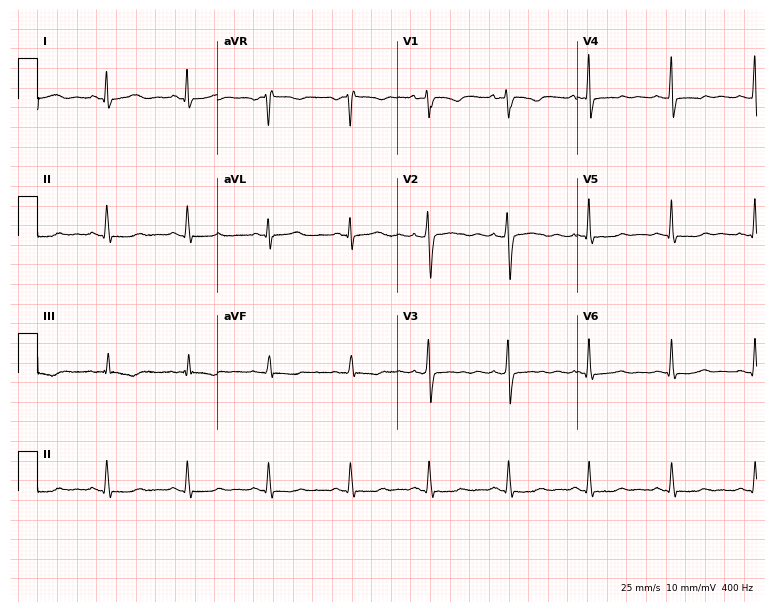
Electrocardiogram (7.3-second recording at 400 Hz), a woman, 44 years old. Of the six screened findings (first-degree AV block, right bundle branch block, left bundle branch block, sinus bradycardia, atrial fibrillation, sinus tachycardia), none is recorded.